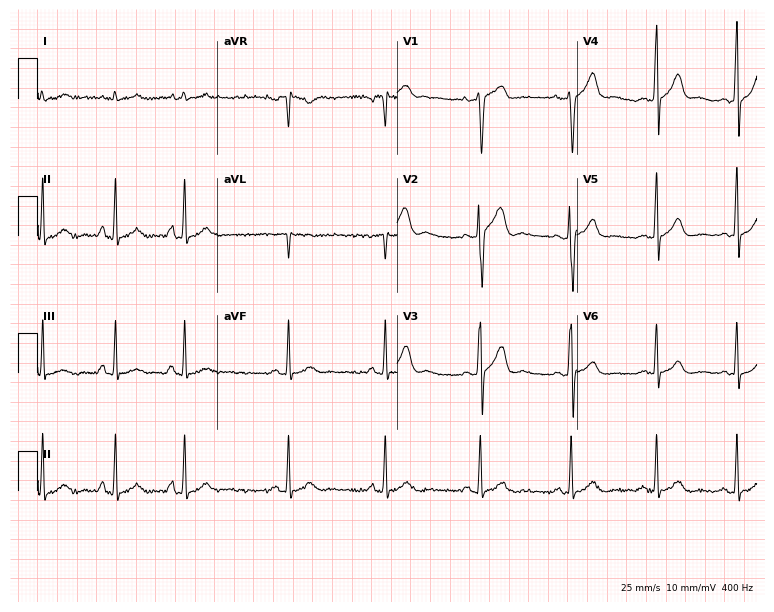
Standard 12-lead ECG recorded from a male, 25 years old (7.3-second recording at 400 Hz). Read as a normal ECG.